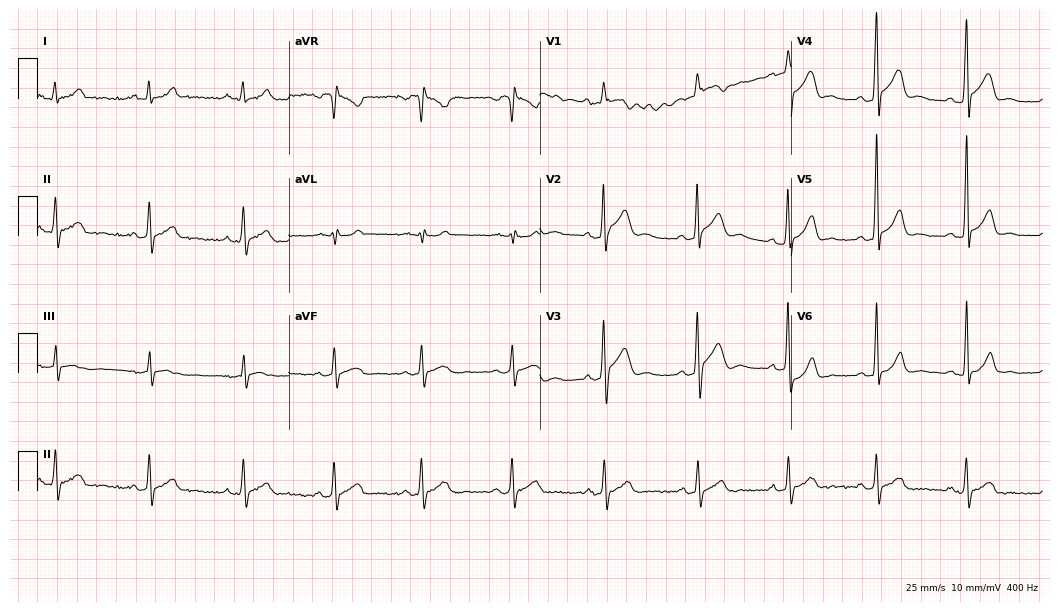
Standard 12-lead ECG recorded from a male, 34 years old (10.2-second recording at 400 Hz). None of these six findings is recorded: first-degree AV block, right bundle branch block (RBBB), left bundle branch block (LBBB), sinus bradycardia, atrial fibrillation (AF), sinus tachycardia.